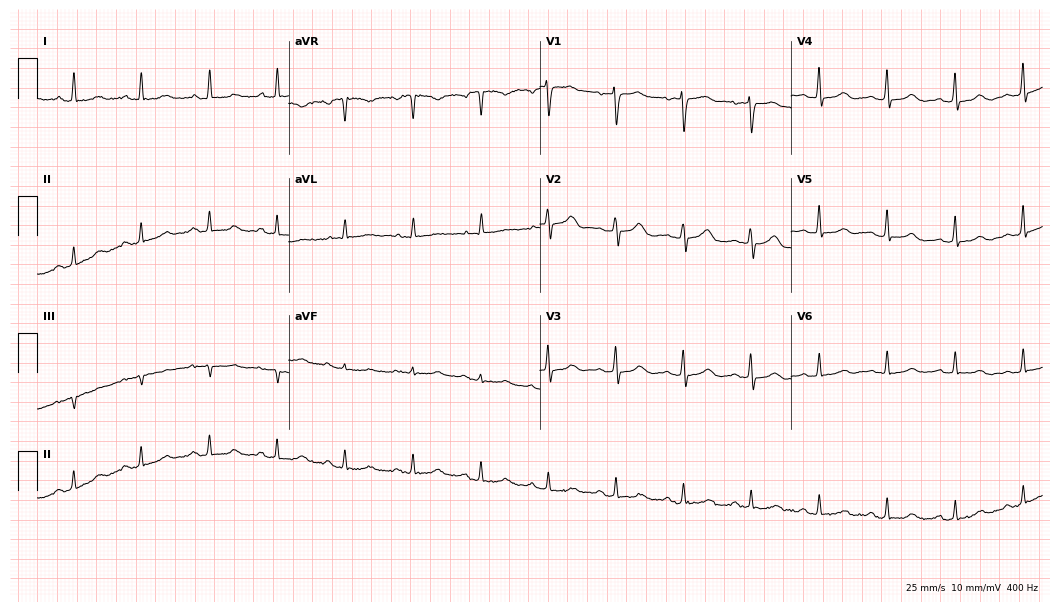
Electrocardiogram, a female patient, 68 years old. Overall reading on record: normal ECG.